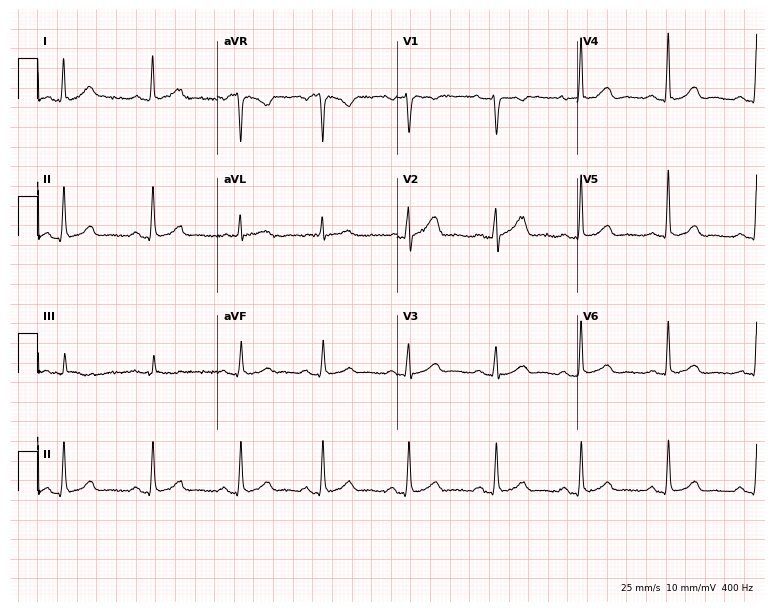
Resting 12-lead electrocardiogram. Patient: a female, 57 years old. None of these six findings is recorded: first-degree AV block, right bundle branch block, left bundle branch block, sinus bradycardia, atrial fibrillation, sinus tachycardia.